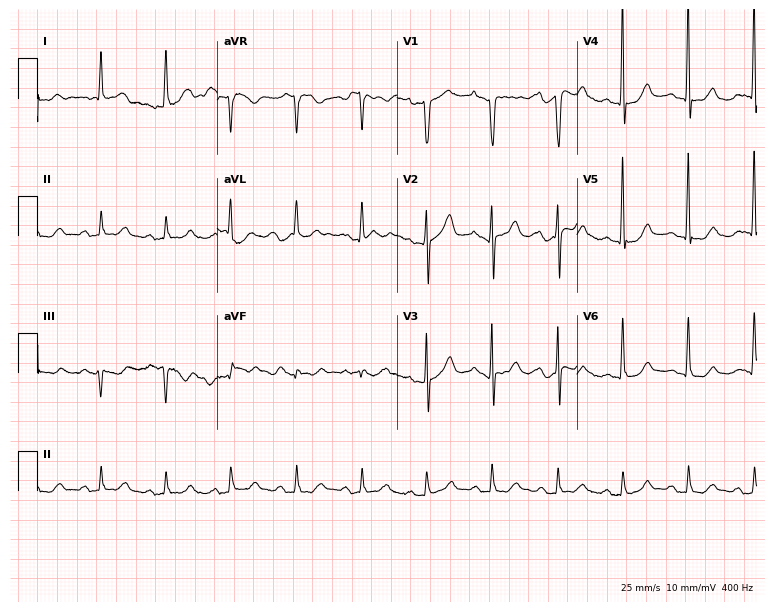
Electrocardiogram, a 79-year-old woman. Of the six screened findings (first-degree AV block, right bundle branch block, left bundle branch block, sinus bradycardia, atrial fibrillation, sinus tachycardia), none is recorded. Other findings, if any, are not listed.